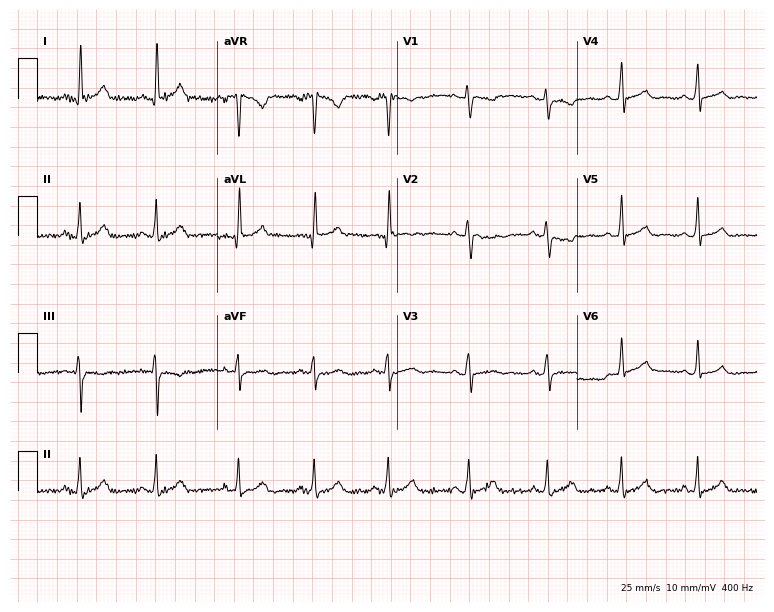
Resting 12-lead electrocardiogram. Patient: a female, 29 years old. None of these six findings is recorded: first-degree AV block, right bundle branch block, left bundle branch block, sinus bradycardia, atrial fibrillation, sinus tachycardia. Findings outside these six are not listed.